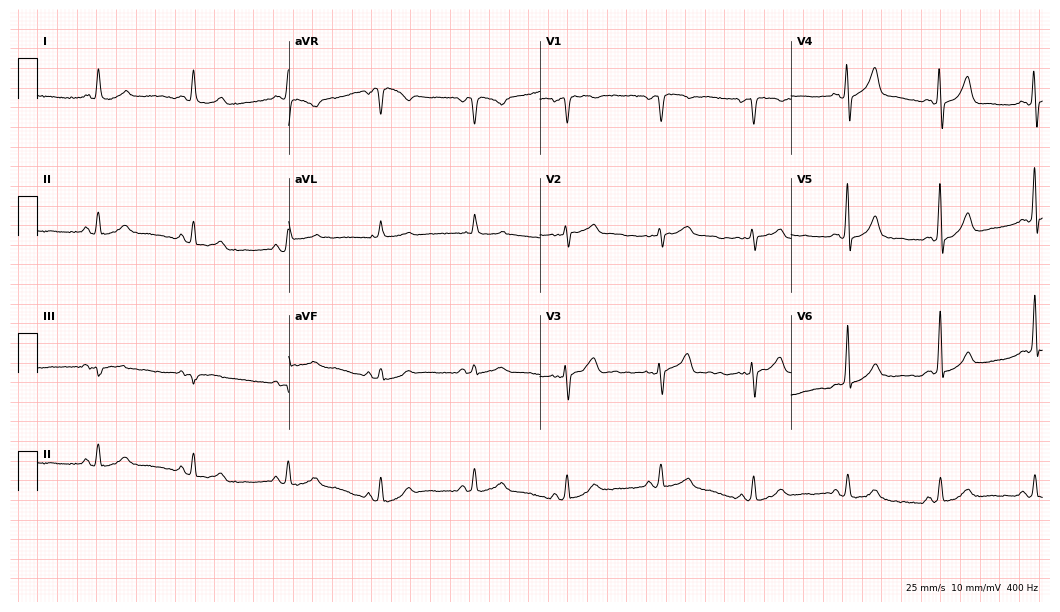
ECG (10.2-second recording at 400 Hz) — a female patient, 54 years old. Labelled as a normal ECG.